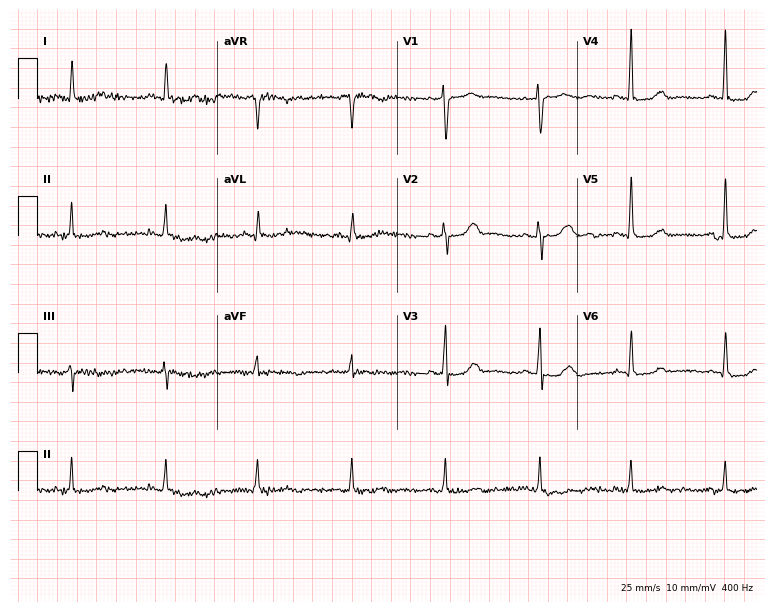
Standard 12-lead ECG recorded from a 70-year-old female (7.3-second recording at 400 Hz). None of these six findings is recorded: first-degree AV block, right bundle branch block, left bundle branch block, sinus bradycardia, atrial fibrillation, sinus tachycardia.